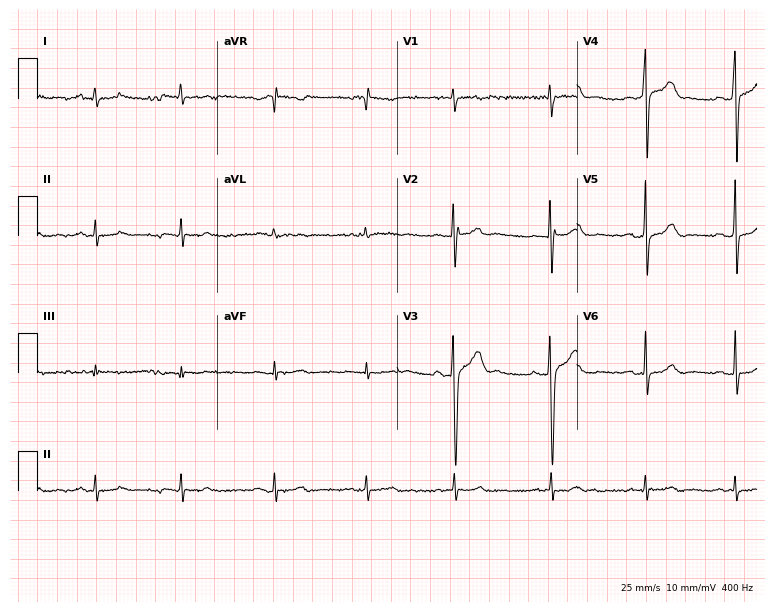
12-lead ECG from a male, 20 years old. Recorded interpretation: within normal limits.